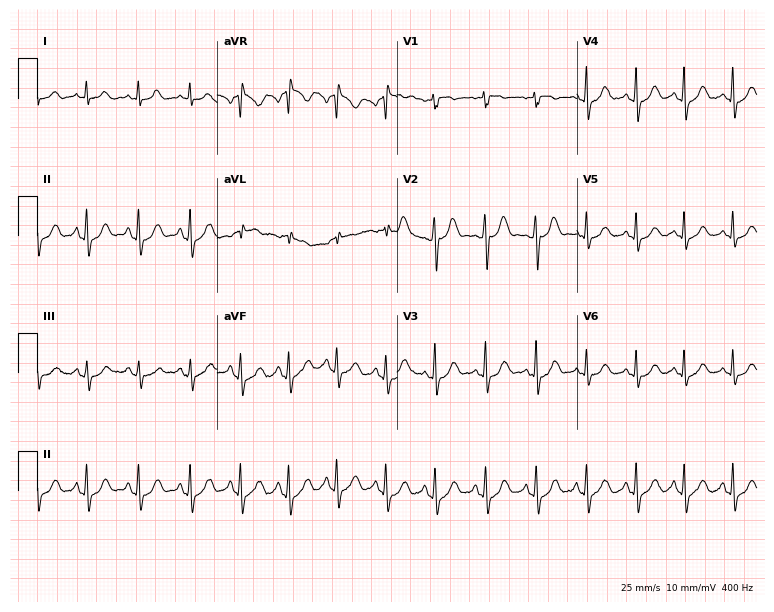
Standard 12-lead ECG recorded from a female, 45 years old (7.3-second recording at 400 Hz). The tracing shows sinus tachycardia (a sinus rate of 100 beats per minute or more).